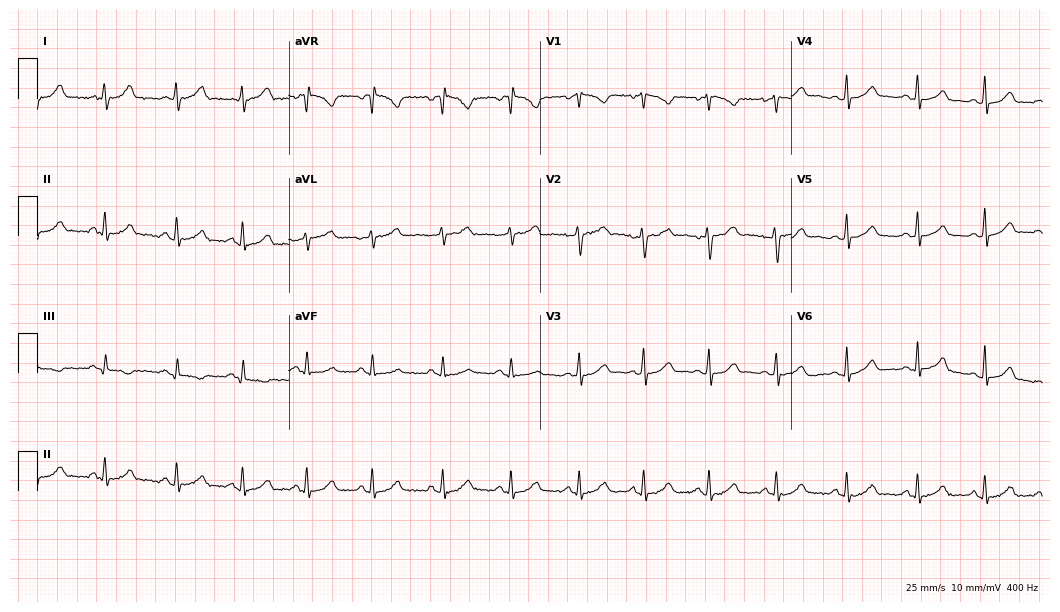
Standard 12-lead ECG recorded from a woman, 41 years old (10.2-second recording at 400 Hz). Read as a normal ECG.